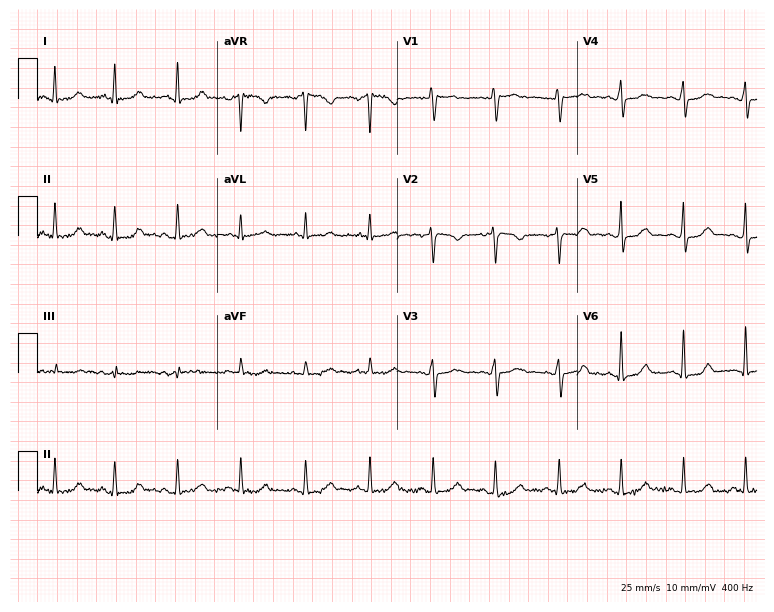
12-lead ECG from a female patient, 37 years old. Labelled as a normal ECG.